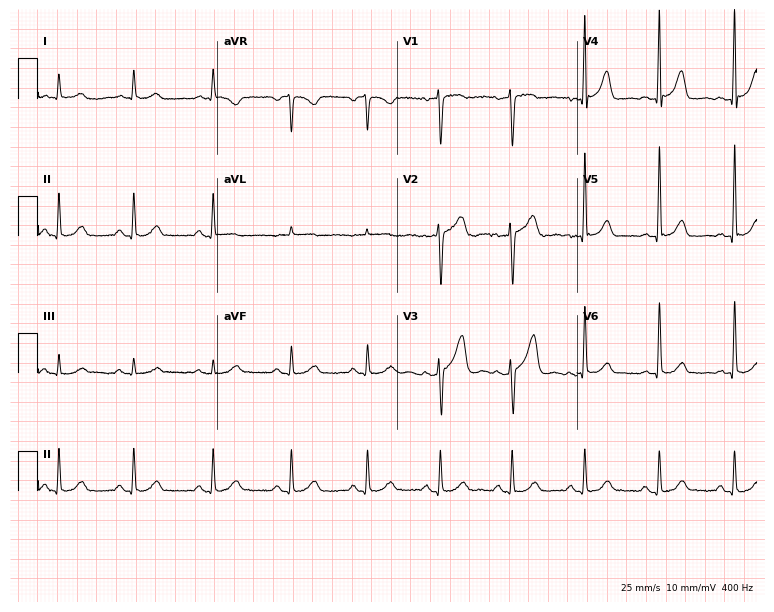
Resting 12-lead electrocardiogram (7.3-second recording at 400 Hz). Patient: a male, 54 years old. Read as a normal ECG.